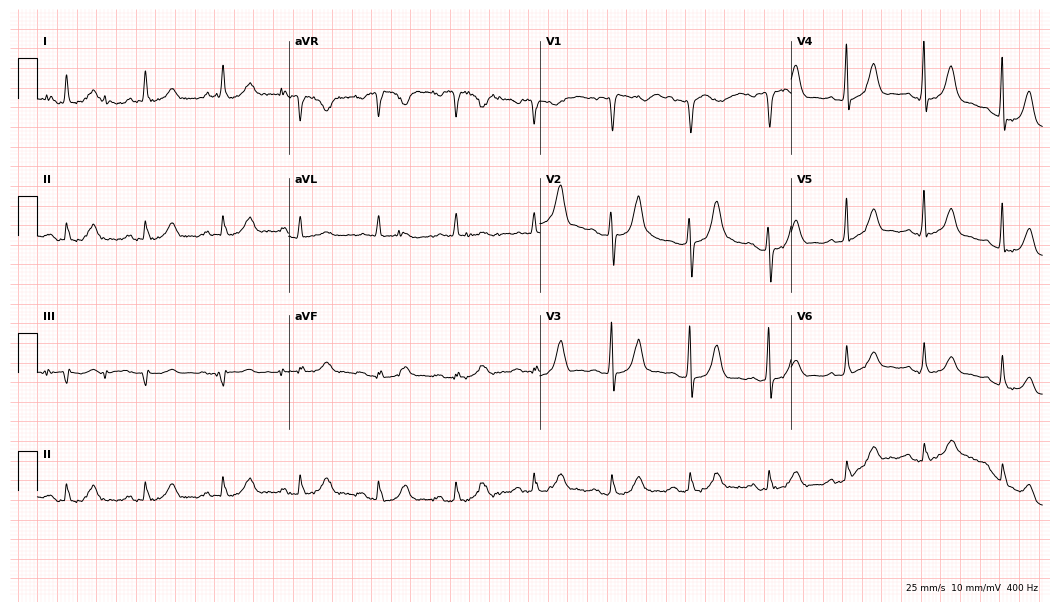
12-lead ECG from a 66-year-old man (10.2-second recording at 400 Hz). Recorded interpretation: within normal limits.